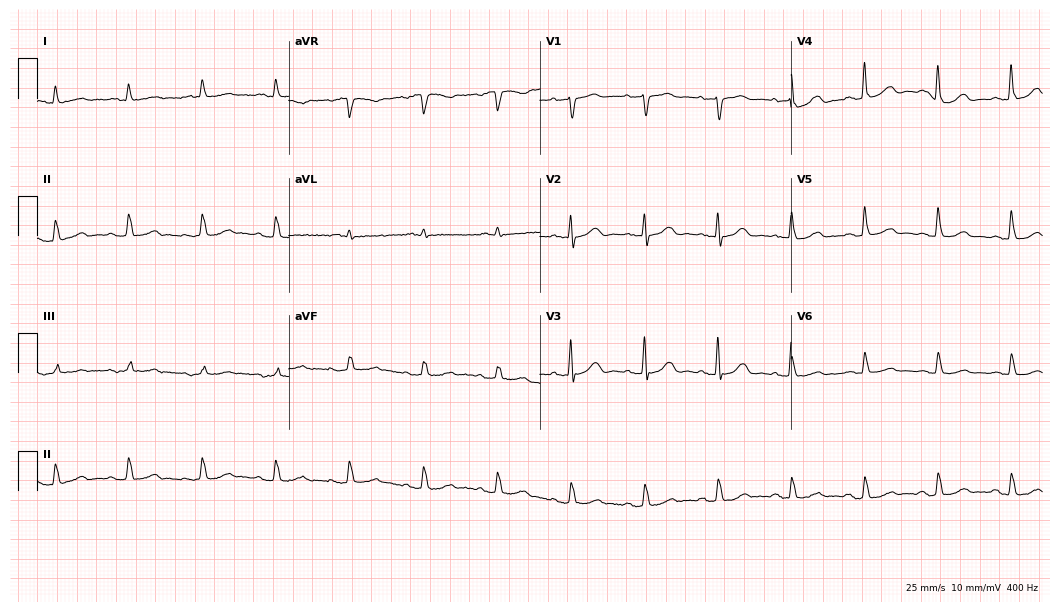
Resting 12-lead electrocardiogram (10.2-second recording at 400 Hz). Patient: a 70-year-old female. None of these six findings is recorded: first-degree AV block, right bundle branch block (RBBB), left bundle branch block (LBBB), sinus bradycardia, atrial fibrillation (AF), sinus tachycardia.